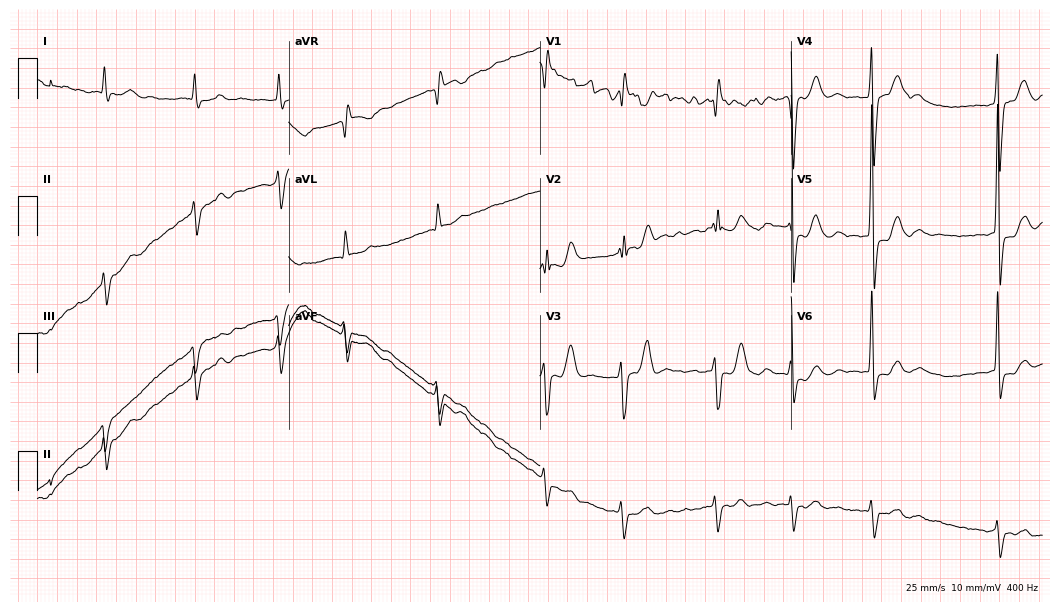
Standard 12-lead ECG recorded from a male, 84 years old. The tracing shows atrial fibrillation.